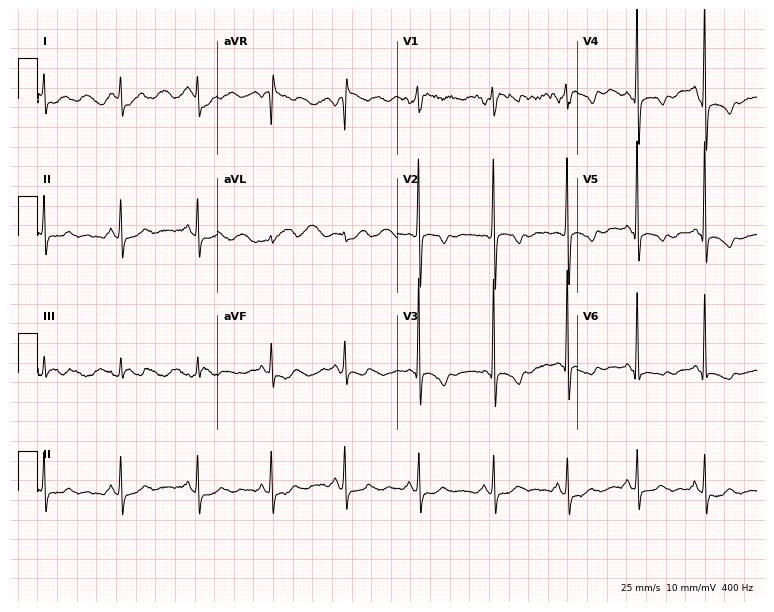
Standard 12-lead ECG recorded from a female patient, 50 years old (7.3-second recording at 400 Hz). None of these six findings is recorded: first-degree AV block, right bundle branch block (RBBB), left bundle branch block (LBBB), sinus bradycardia, atrial fibrillation (AF), sinus tachycardia. Only these six findings were labelled.